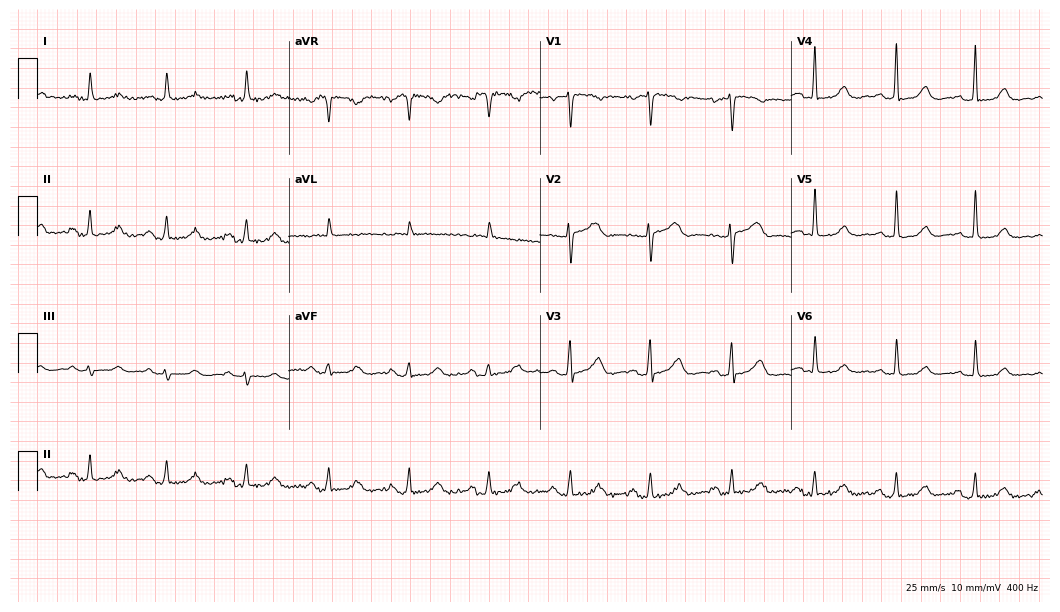
Electrocardiogram, a woman, 56 years old. Overall reading on record: normal ECG.